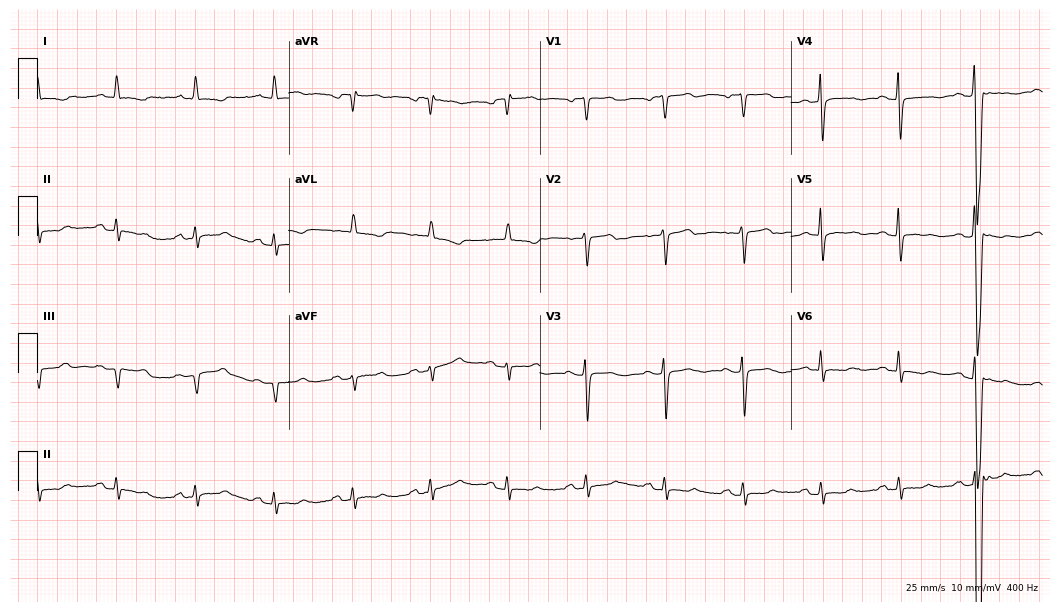
ECG (10.2-second recording at 400 Hz) — a woman, 81 years old. Screened for six findings — first-degree AV block, right bundle branch block, left bundle branch block, sinus bradycardia, atrial fibrillation, sinus tachycardia — none is recorded.